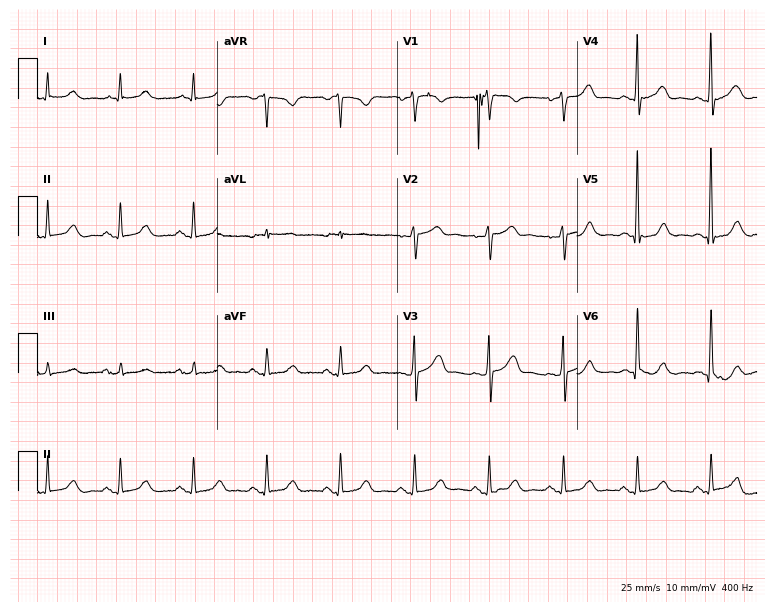
12-lead ECG (7.3-second recording at 400 Hz) from a 64-year-old male patient. Screened for six findings — first-degree AV block, right bundle branch block, left bundle branch block, sinus bradycardia, atrial fibrillation, sinus tachycardia — none is recorded. Other findings, if any, are not listed.